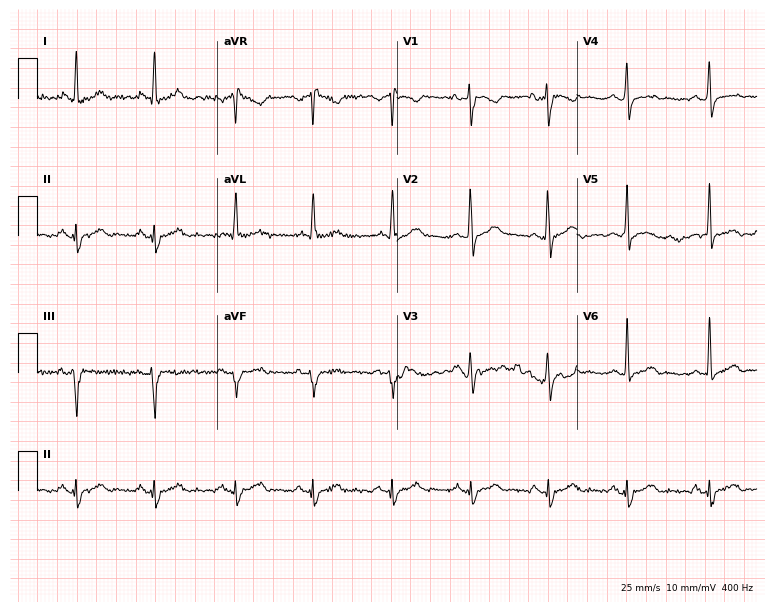
12-lead ECG from a man, 43 years old. Screened for six findings — first-degree AV block, right bundle branch block (RBBB), left bundle branch block (LBBB), sinus bradycardia, atrial fibrillation (AF), sinus tachycardia — none is recorded. Findings outside these six are not listed.